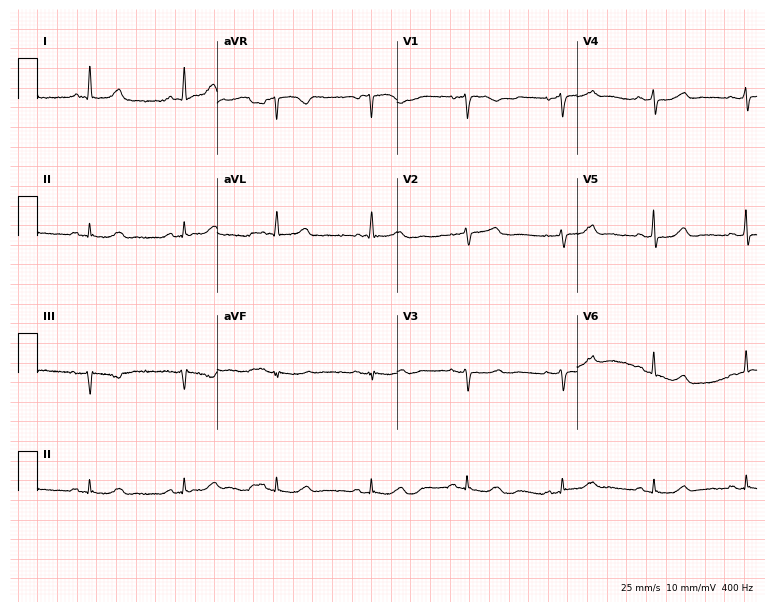
12-lead ECG (7.3-second recording at 400 Hz) from a 68-year-old woman. Screened for six findings — first-degree AV block, right bundle branch block, left bundle branch block, sinus bradycardia, atrial fibrillation, sinus tachycardia — none is recorded.